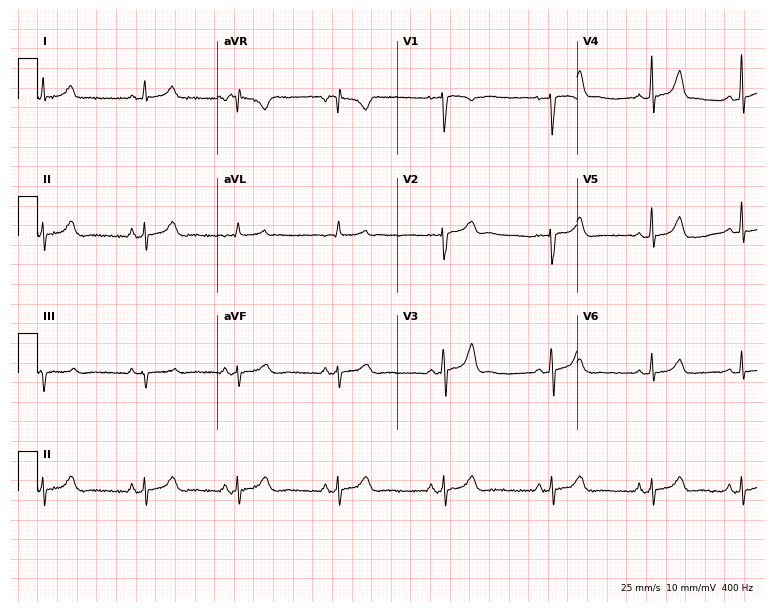
Standard 12-lead ECG recorded from a female patient, 24 years old (7.3-second recording at 400 Hz). Read as a normal ECG.